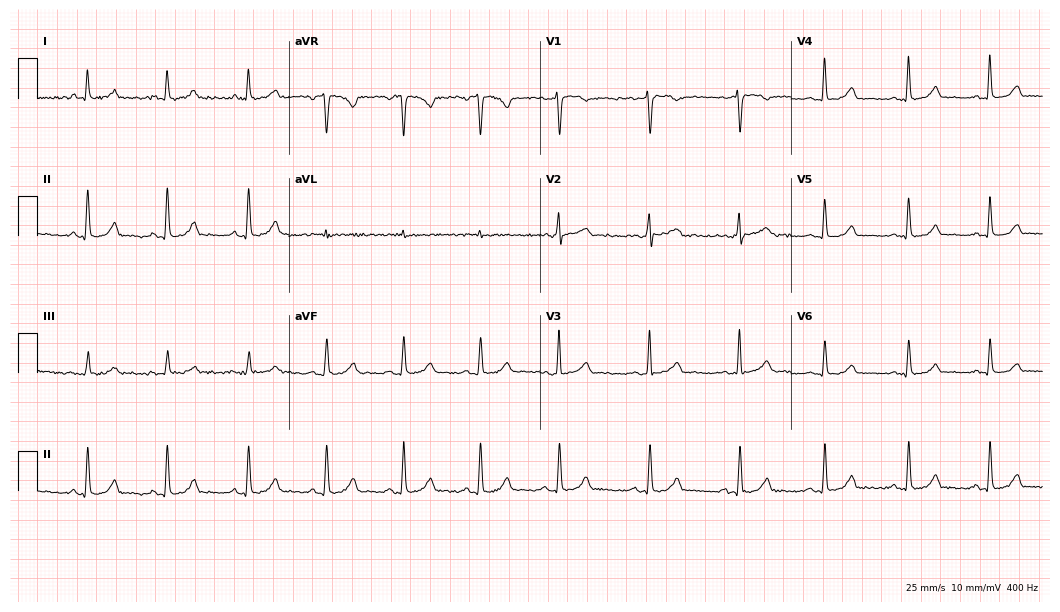
Standard 12-lead ECG recorded from a 45-year-old woman (10.2-second recording at 400 Hz). Read as a normal ECG.